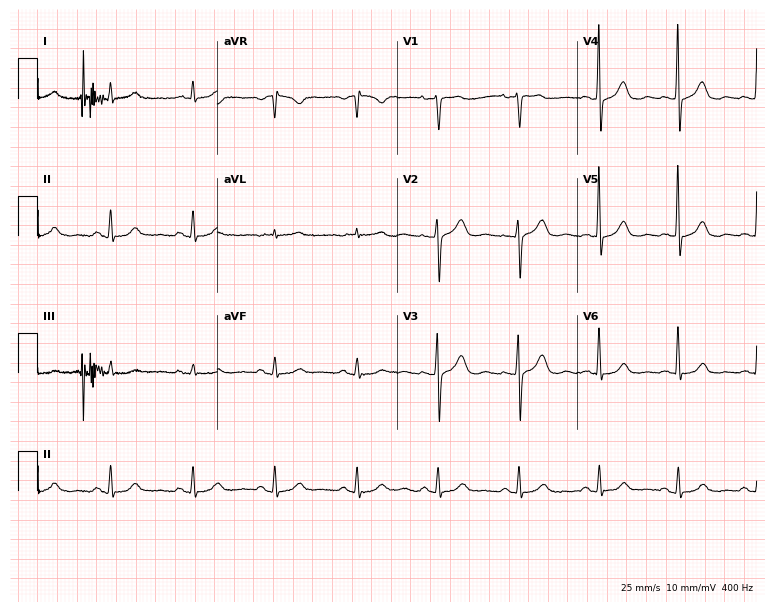
12-lead ECG from a female patient, 76 years old. Screened for six findings — first-degree AV block, right bundle branch block (RBBB), left bundle branch block (LBBB), sinus bradycardia, atrial fibrillation (AF), sinus tachycardia — none is recorded.